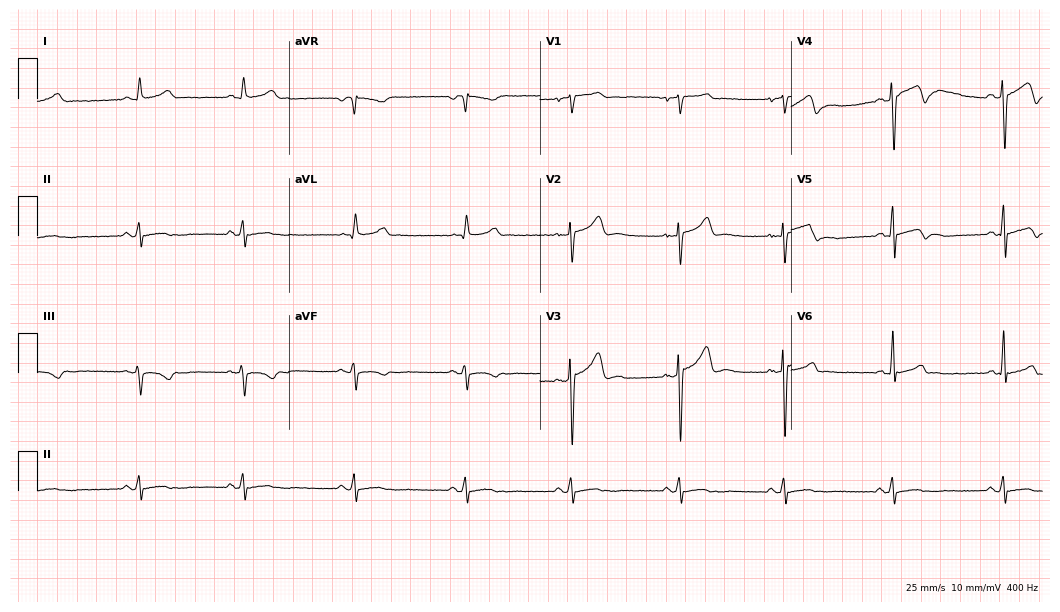
12-lead ECG from a 41-year-old man. No first-degree AV block, right bundle branch block (RBBB), left bundle branch block (LBBB), sinus bradycardia, atrial fibrillation (AF) or sinus tachycardia recorded for this tracing.